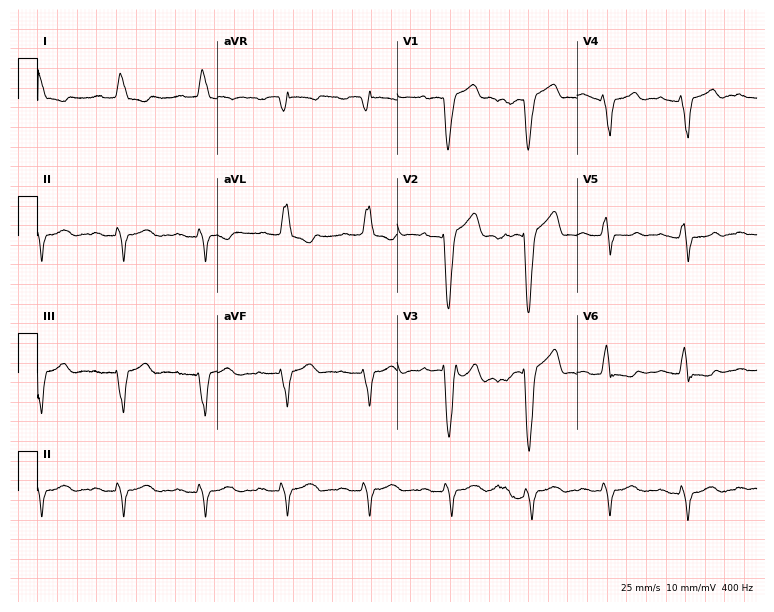
Resting 12-lead electrocardiogram (7.3-second recording at 400 Hz). Patient: a man, 64 years old. The tracing shows first-degree AV block, left bundle branch block.